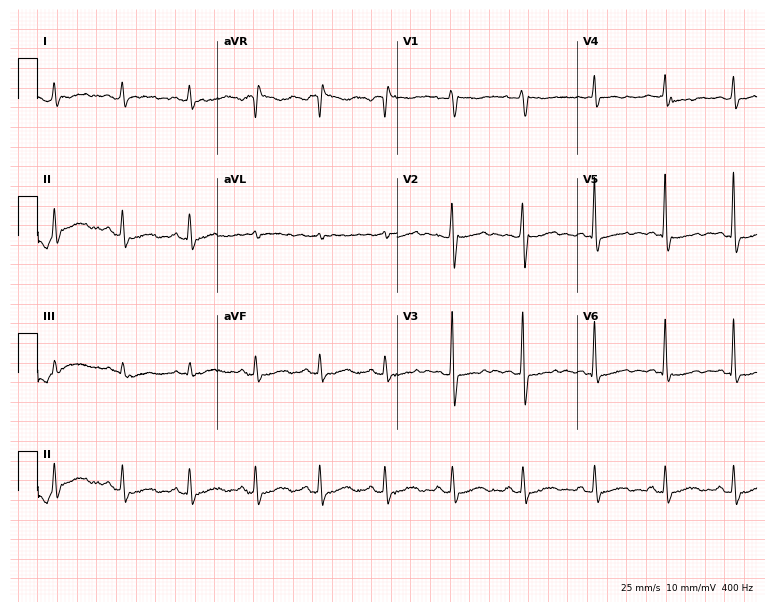
12-lead ECG from a woman, 49 years old (7.3-second recording at 400 Hz). No first-degree AV block, right bundle branch block, left bundle branch block, sinus bradycardia, atrial fibrillation or sinus tachycardia recorded for this tracing. Findings outside these six are not listed.